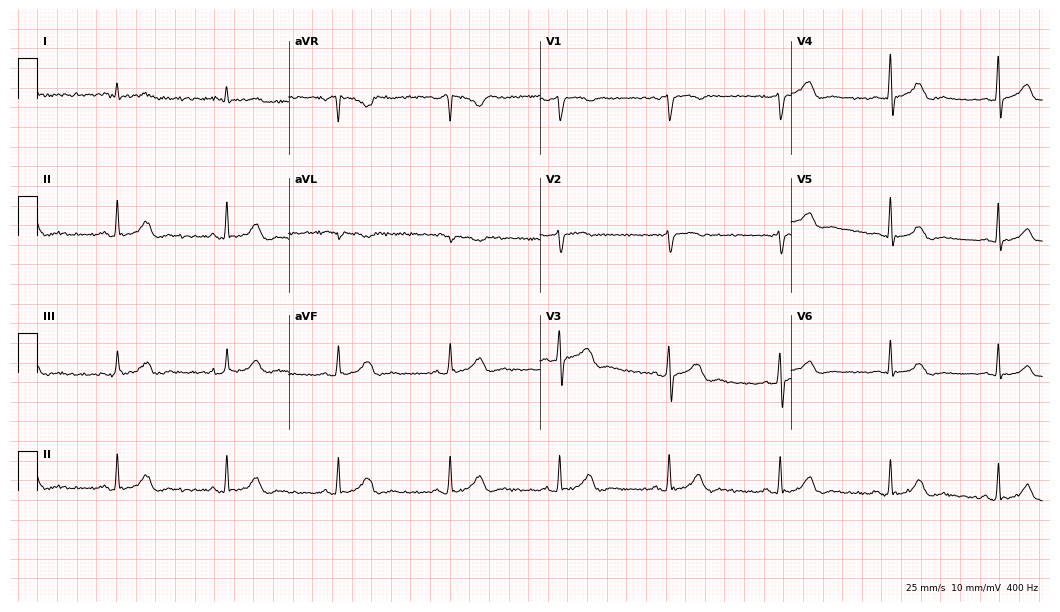
Resting 12-lead electrocardiogram. Patient: a man, 58 years old. Read as a normal ECG.